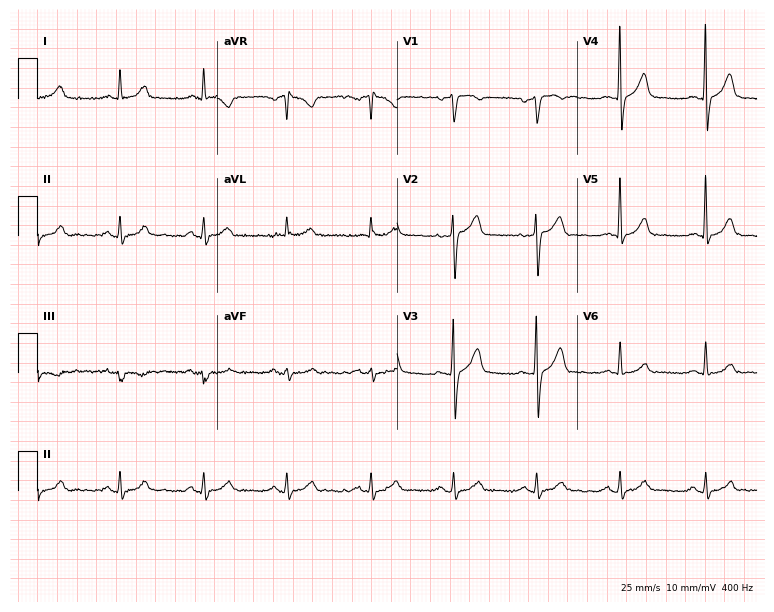
Resting 12-lead electrocardiogram. Patient: a 57-year-old male. Read as a normal ECG.